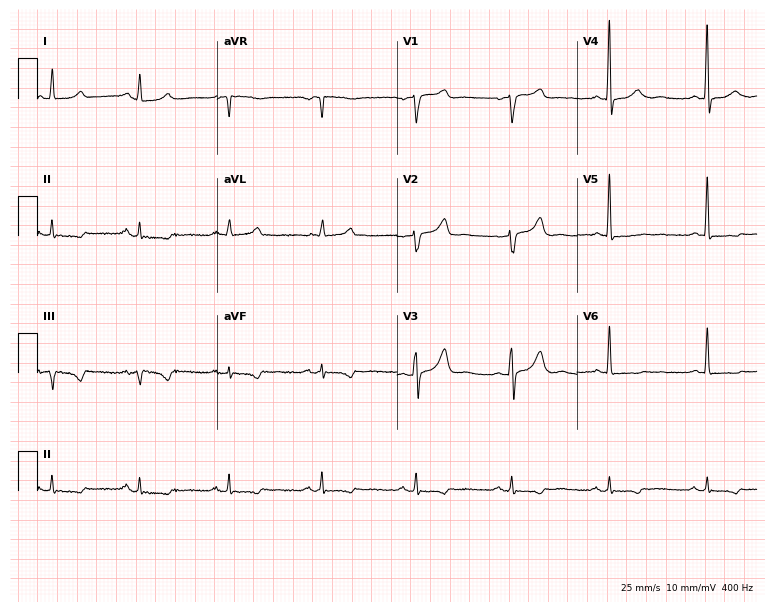
12-lead ECG from a 56-year-old male. No first-degree AV block, right bundle branch block, left bundle branch block, sinus bradycardia, atrial fibrillation or sinus tachycardia recorded for this tracing.